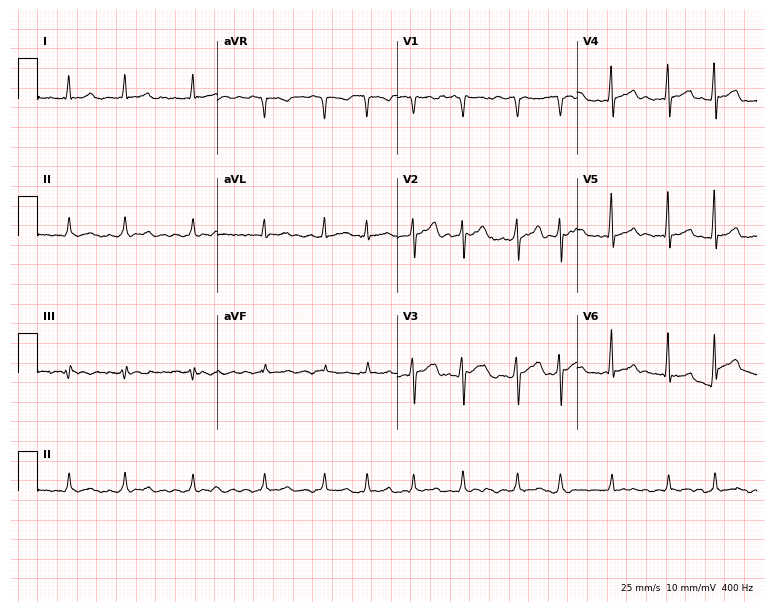
Standard 12-lead ECG recorded from a 56-year-old male. The tracing shows atrial fibrillation.